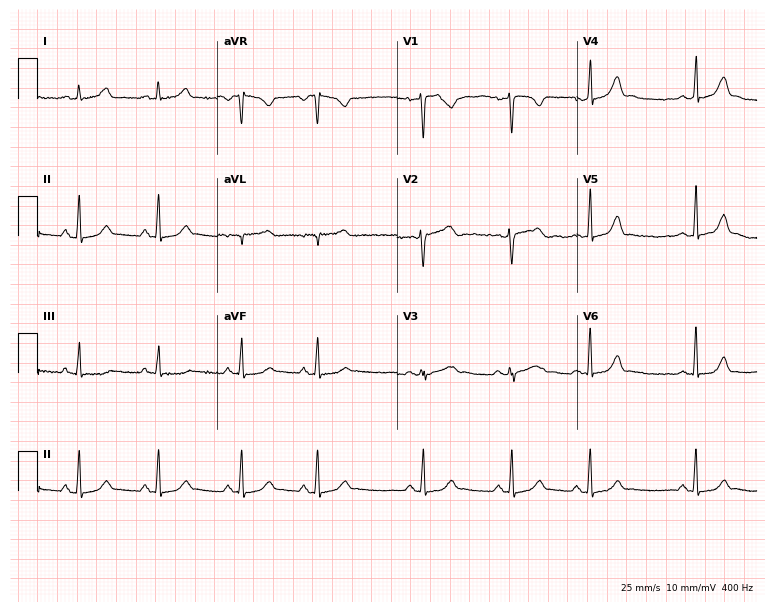
Electrocardiogram (7.3-second recording at 400 Hz), a female, 21 years old. Overall reading on record: normal ECG.